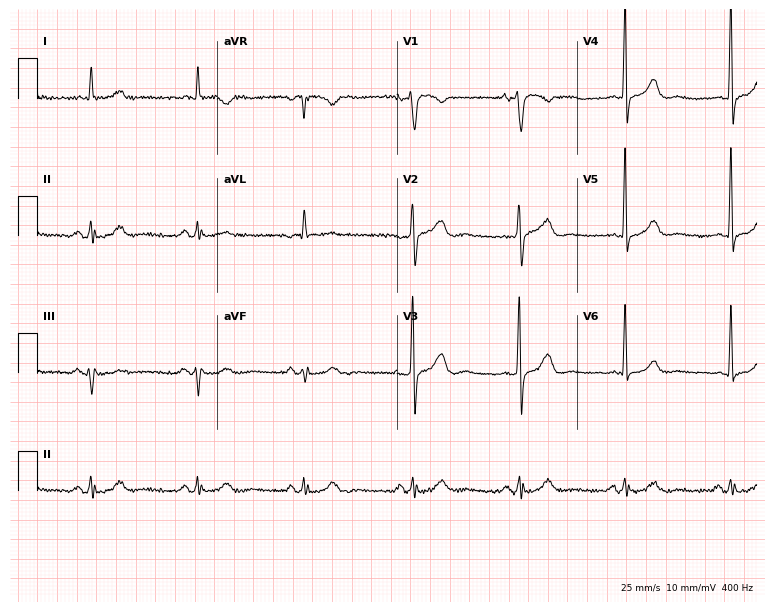
ECG (7.3-second recording at 400 Hz) — a male patient, 63 years old. Labelled as a normal ECG.